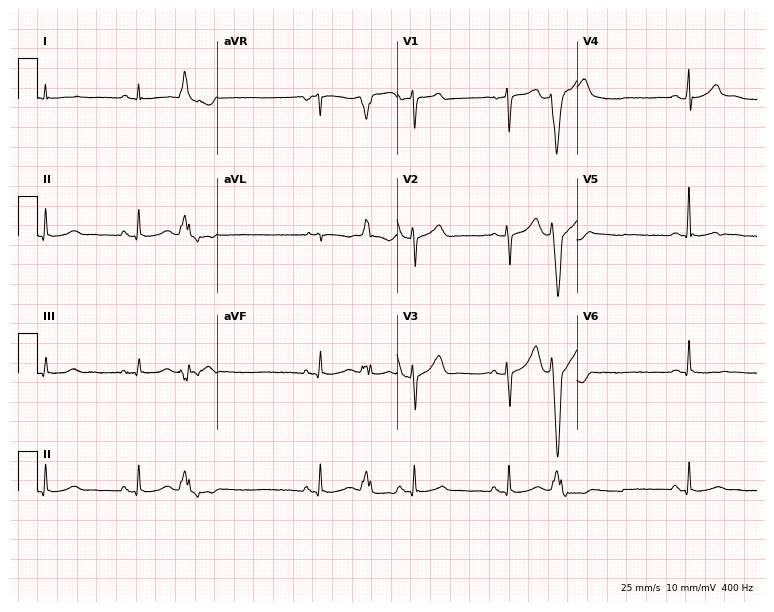
ECG — a 60-year-old man. Screened for six findings — first-degree AV block, right bundle branch block, left bundle branch block, sinus bradycardia, atrial fibrillation, sinus tachycardia — none is recorded. Findings outside these six are not listed.